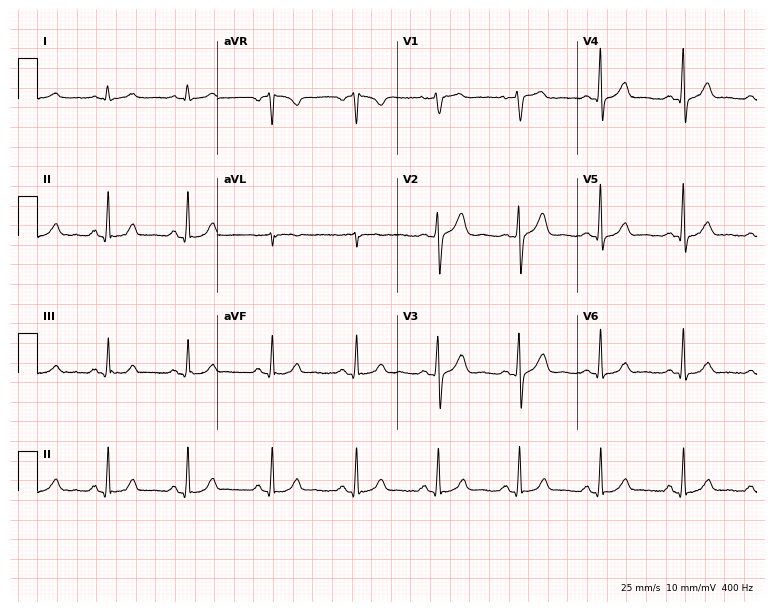
Standard 12-lead ECG recorded from a man, 84 years old. None of these six findings is recorded: first-degree AV block, right bundle branch block, left bundle branch block, sinus bradycardia, atrial fibrillation, sinus tachycardia.